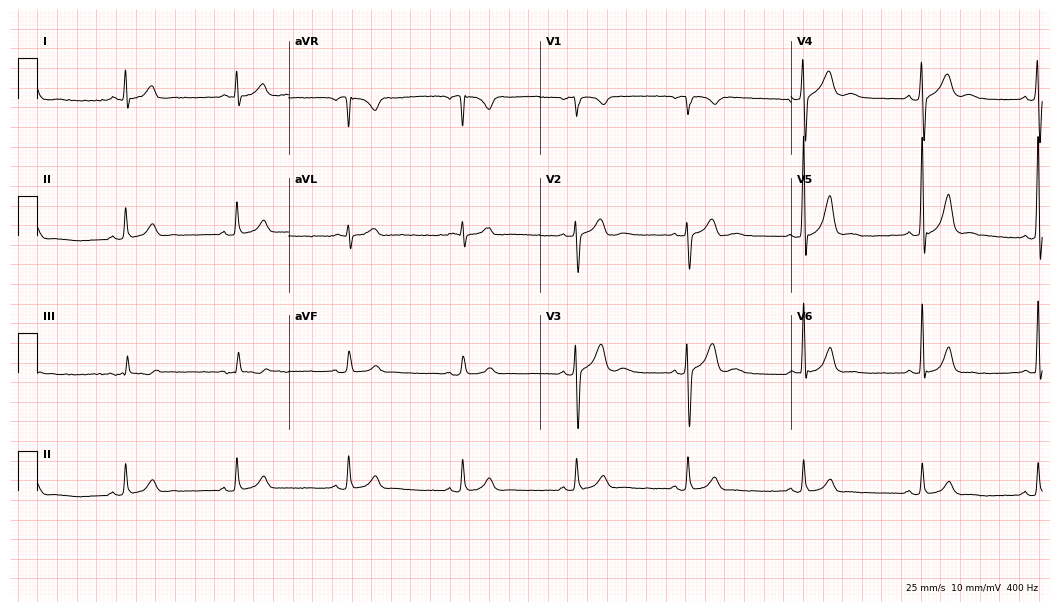
12-lead ECG from a male, 47 years old. Recorded interpretation: within normal limits.